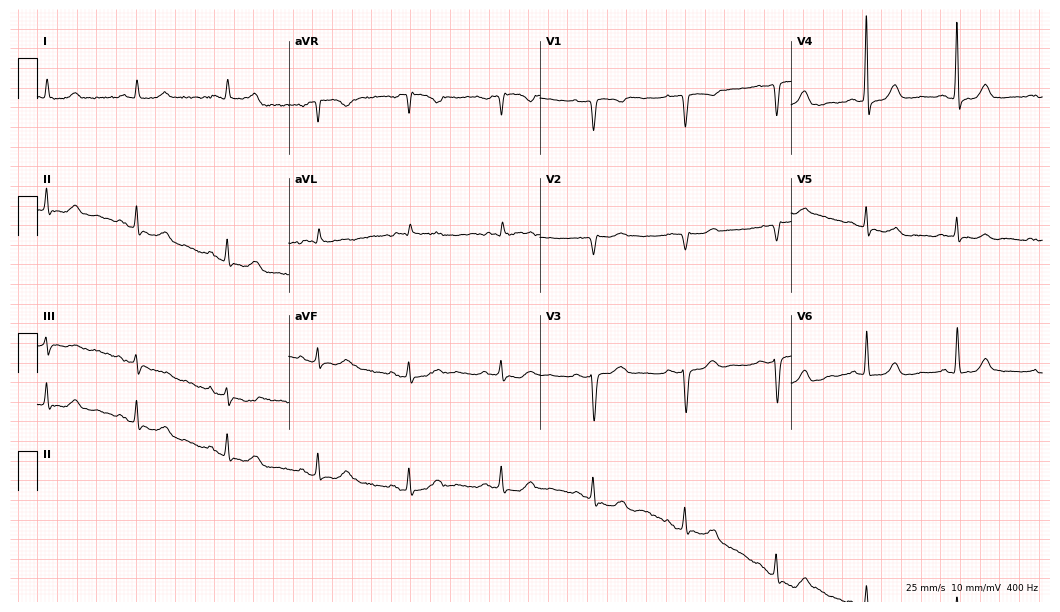
12-lead ECG from a female patient, 83 years old. No first-degree AV block, right bundle branch block, left bundle branch block, sinus bradycardia, atrial fibrillation or sinus tachycardia recorded for this tracing. Only these six findings were labelled.